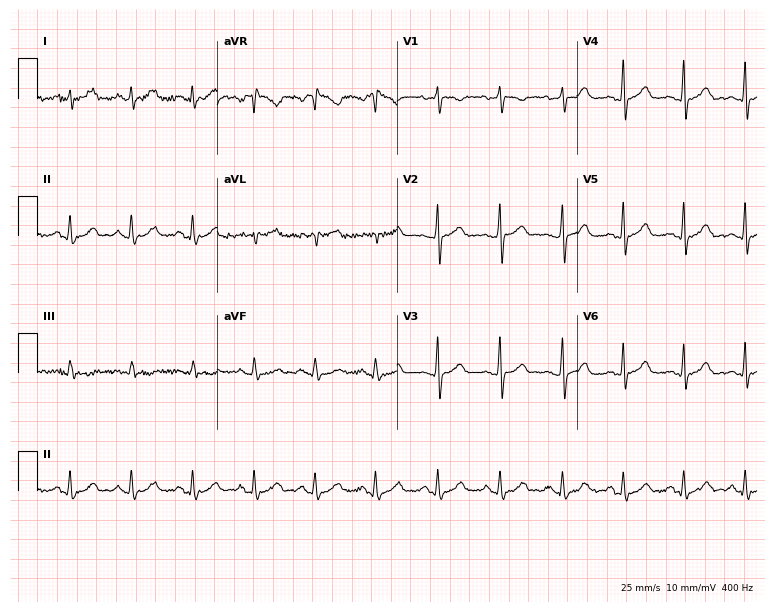
ECG — a female patient, 30 years old. Labelled as a normal ECG.